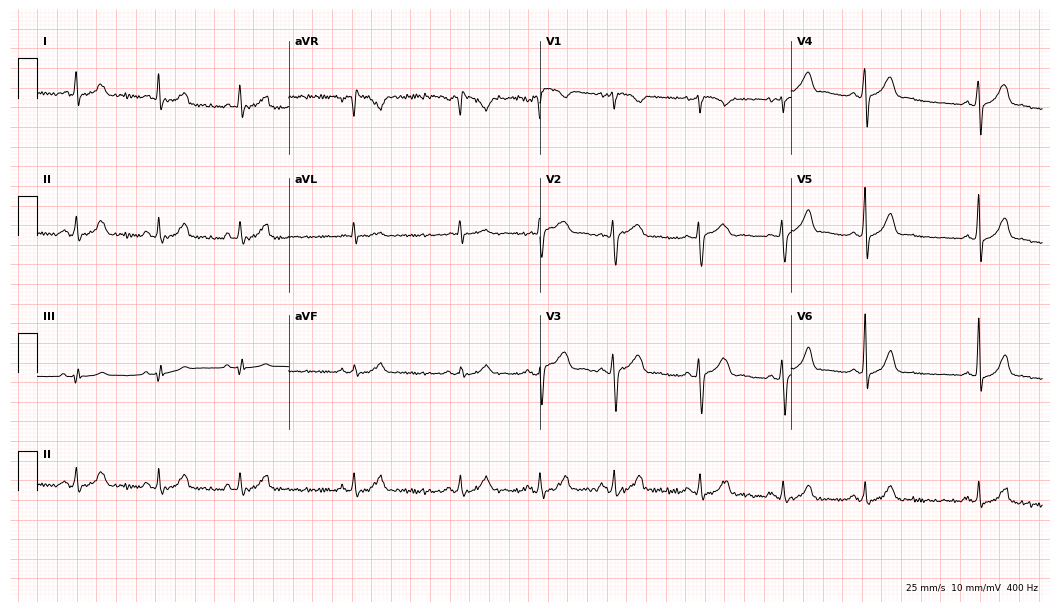
12-lead ECG from a 21-year-old male. No first-degree AV block, right bundle branch block, left bundle branch block, sinus bradycardia, atrial fibrillation or sinus tachycardia recorded for this tracing.